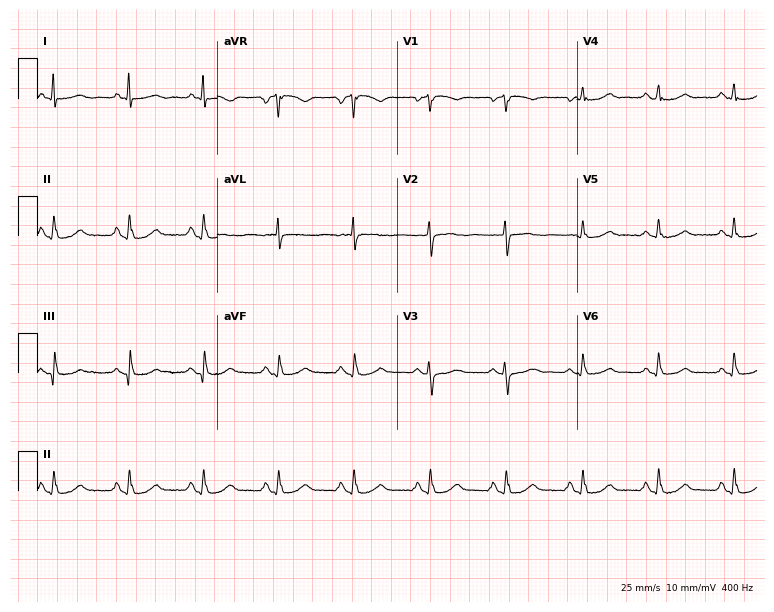
ECG — a 71-year-old female patient. Screened for six findings — first-degree AV block, right bundle branch block, left bundle branch block, sinus bradycardia, atrial fibrillation, sinus tachycardia — none is recorded. Only these six findings were labelled.